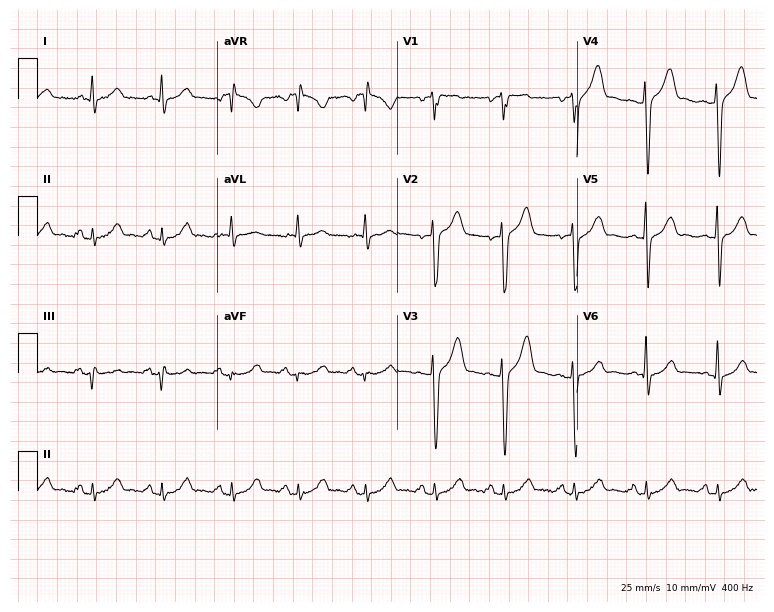
12-lead ECG from a male, 33 years old. Labelled as a normal ECG.